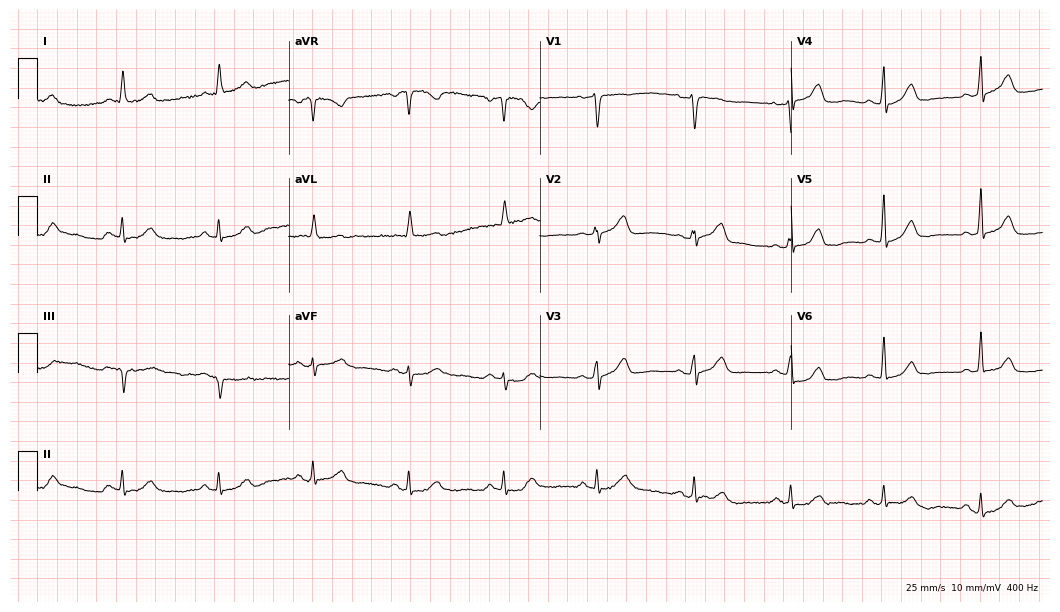
Electrocardiogram (10.2-second recording at 400 Hz), a female patient, 58 years old. Of the six screened findings (first-degree AV block, right bundle branch block (RBBB), left bundle branch block (LBBB), sinus bradycardia, atrial fibrillation (AF), sinus tachycardia), none is recorded.